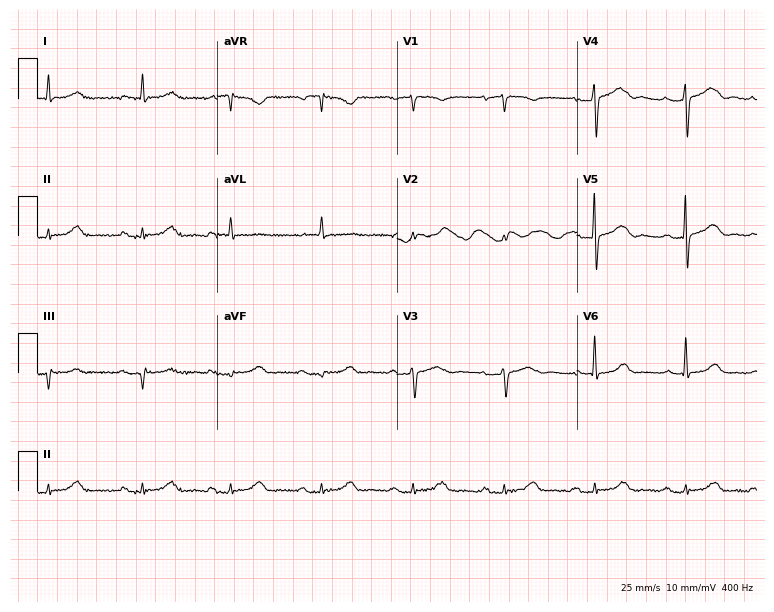
Electrocardiogram (7.3-second recording at 400 Hz), a female, 80 years old. Interpretation includes first-degree AV block.